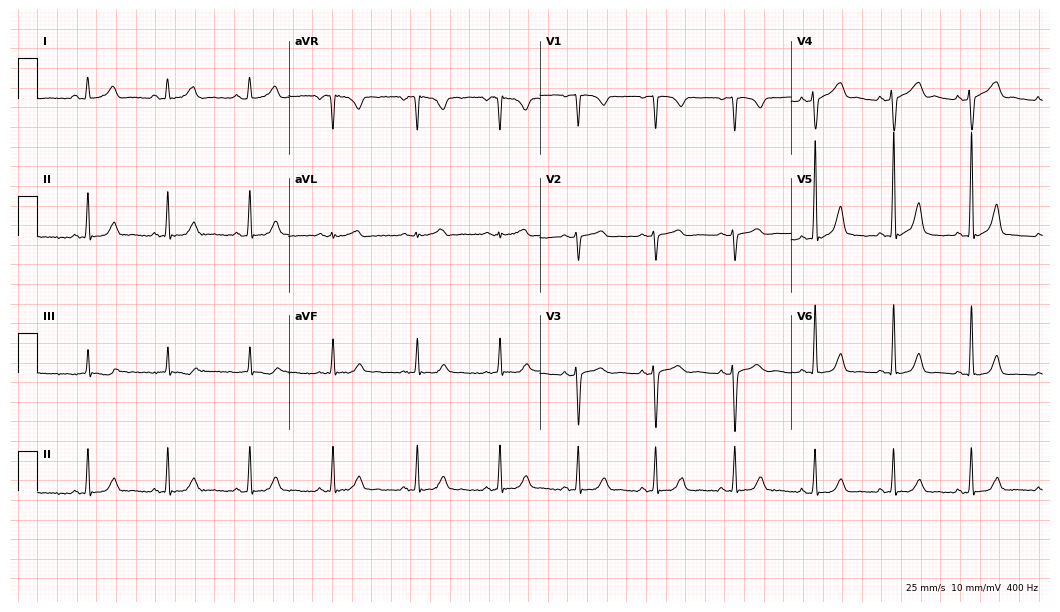
Standard 12-lead ECG recorded from a female patient, 30 years old. Read as a normal ECG.